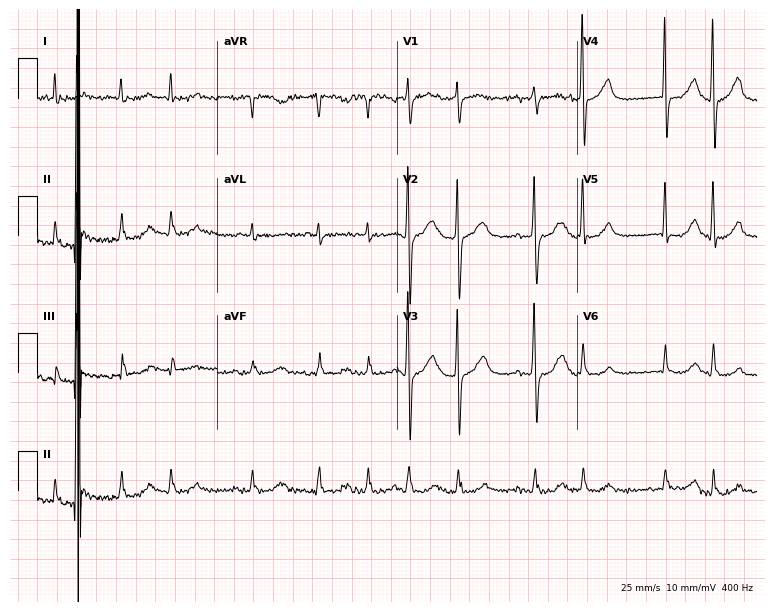
12-lead ECG from a man, 82 years old. Screened for six findings — first-degree AV block, right bundle branch block, left bundle branch block, sinus bradycardia, atrial fibrillation, sinus tachycardia — none is recorded.